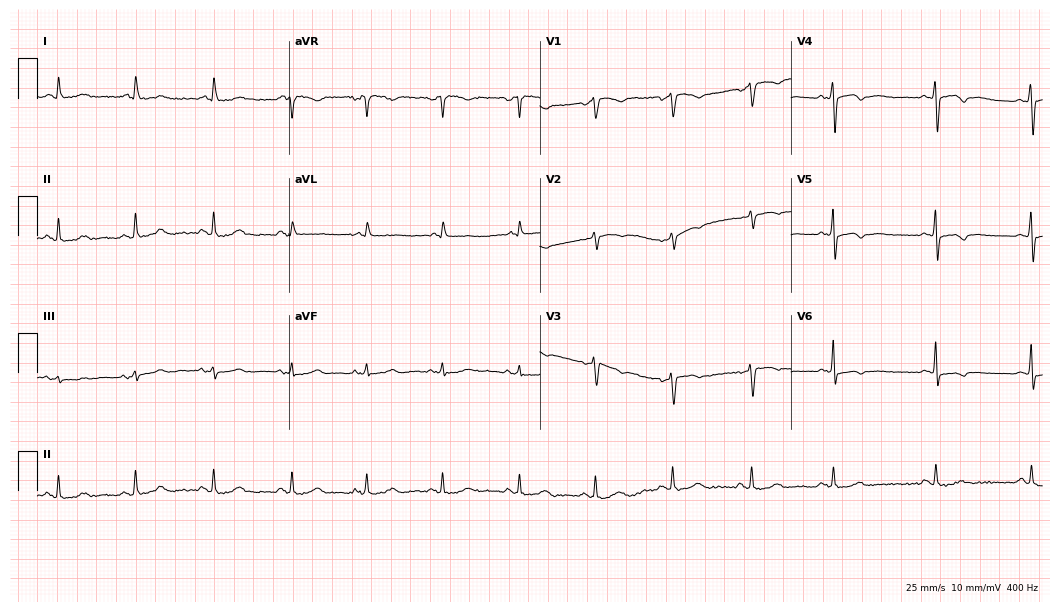
12-lead ECG (10.2-second recording at 400 Hz) from a female patient, 77 years old. Screened for six findings — first-degree AV block, right bundle branch block, left bundle branch block, sinus bradycardia, atrial fibrillation, sinus tachycardia — none is recorded. Only these six findings were labelled.